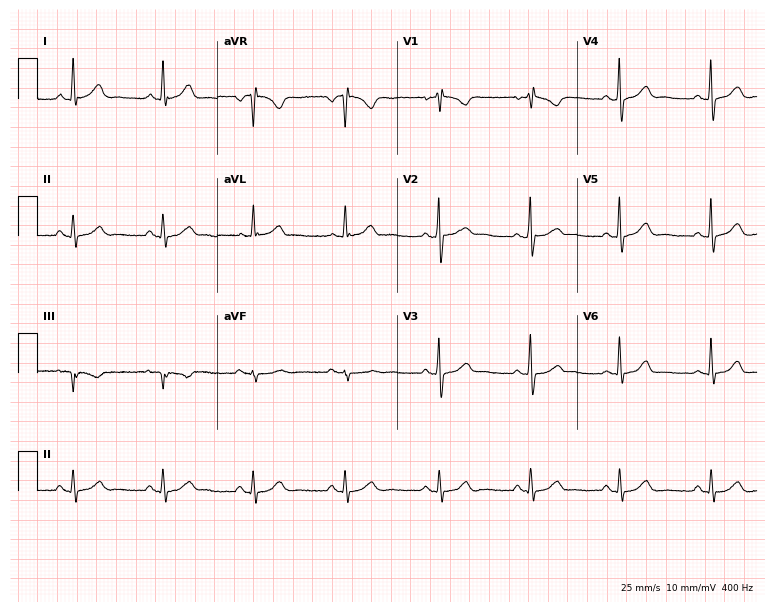
Resting 12-lead electrocardiogram (7.3-second recording at 400 Hz). Patient: a male, 50 years old. None of these six findings is recorded: first-degree AV block, right bundle branch block, left bundle branch block, sinus bradycardia, atrial fibrillation, sinus tachycardia. Findings outside these six are not listed.